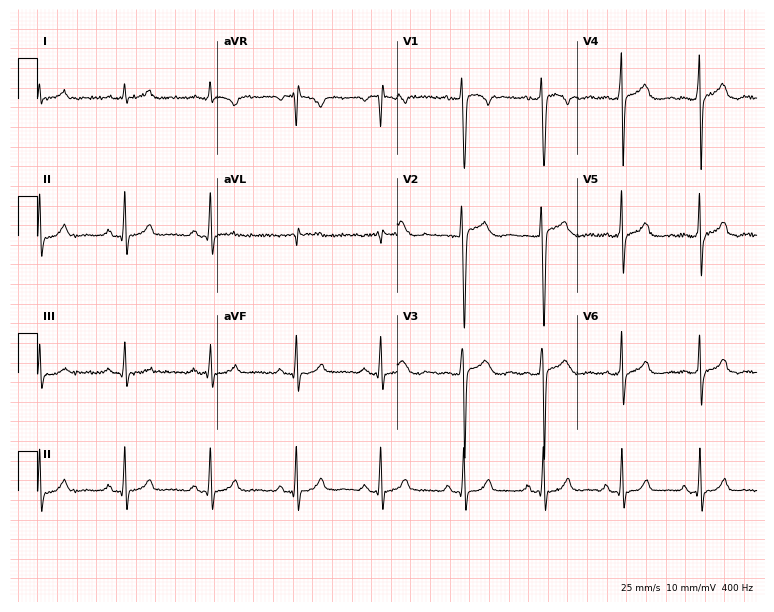
12-lead ECG from a 33-year-old male patient. No first-degree AV block, right bundle branch block, left bundle branch block, sinus bradycardia, atrial fibrillation or sinus tachycardia recorded for this tracing. Other findings, if any, are not listed.